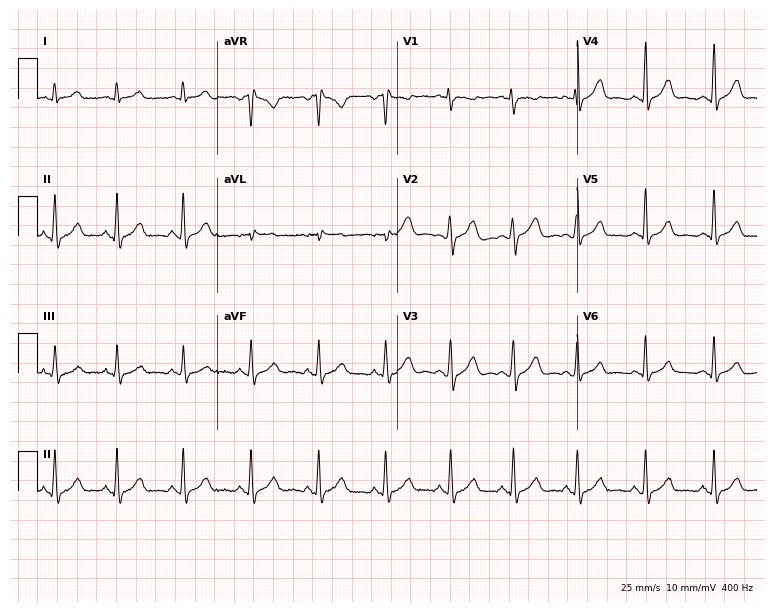
Resting 12-lead electrocardiogram. Patient: a 27-year-old female. Read as a normal ECG.